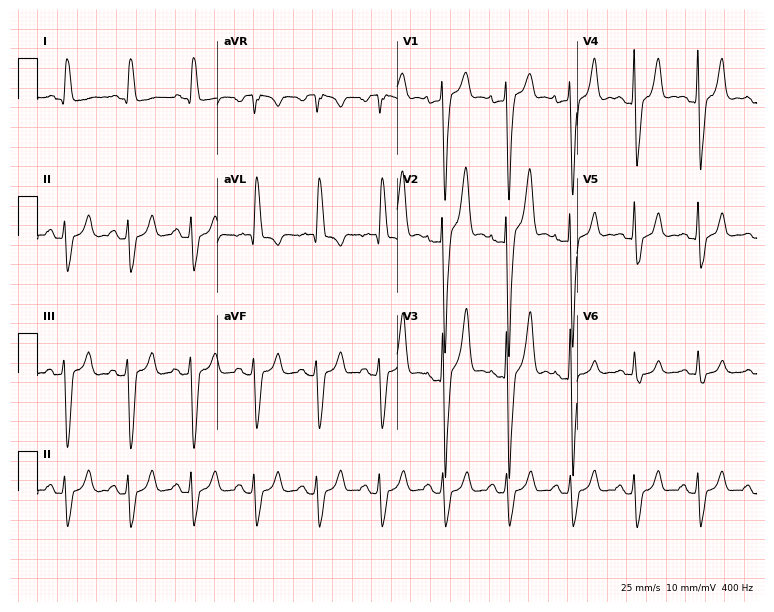
Electrocardiogram, a male, 65 years old. Of the six screened findings (first-degree AV block, right bundle branch block (RBBB), left bundle branch block (LBBB), sinus bradycardia, atrial fibrillation (AF), sinus tachycardia), none is recorded.